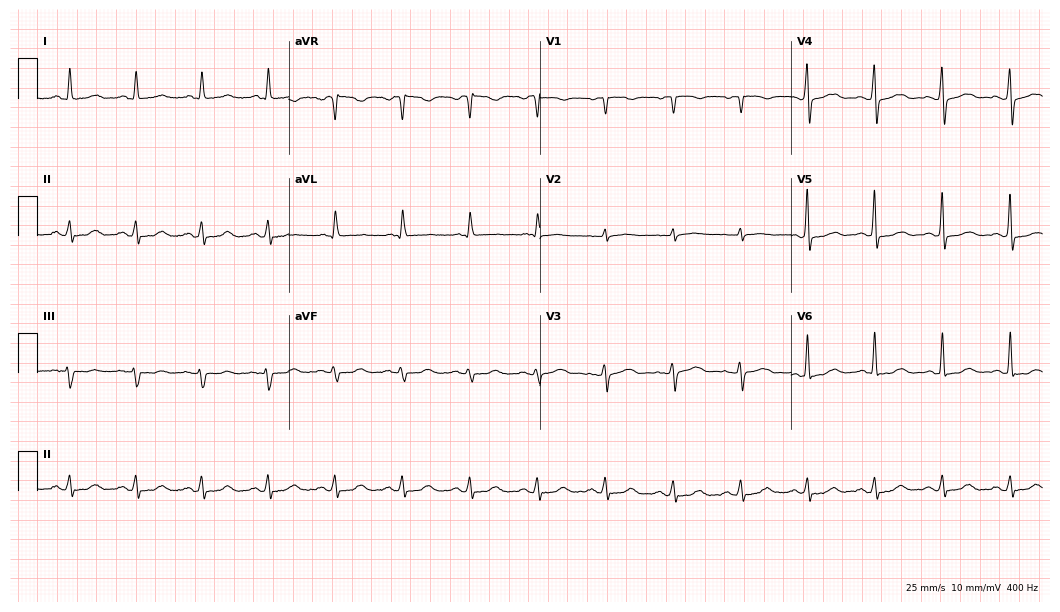
ECG (10.2-second recording at 400 Hz) — a woman, 80 years old. Labelled as a normal ECG.